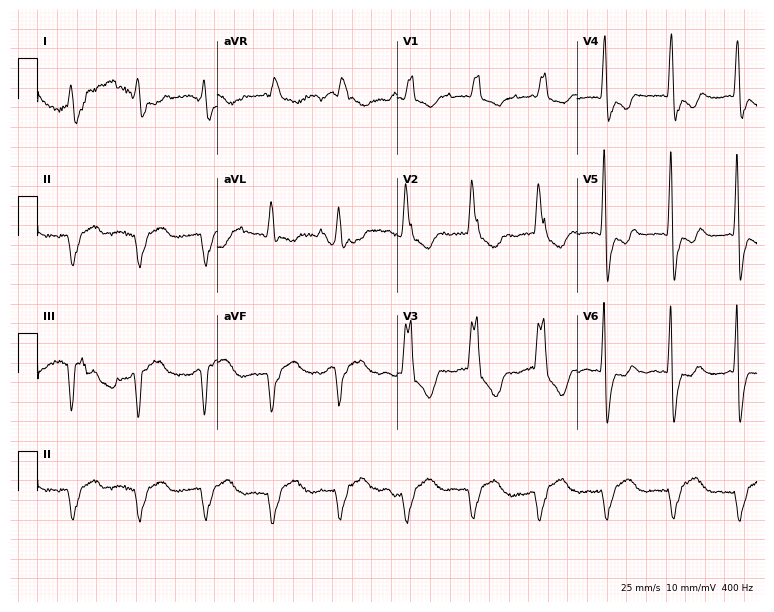
12-lead ECG from a woman, 72 years old (7.3-second recording at 400 Hz). Shows first-degree AV block, right bundle branch block.